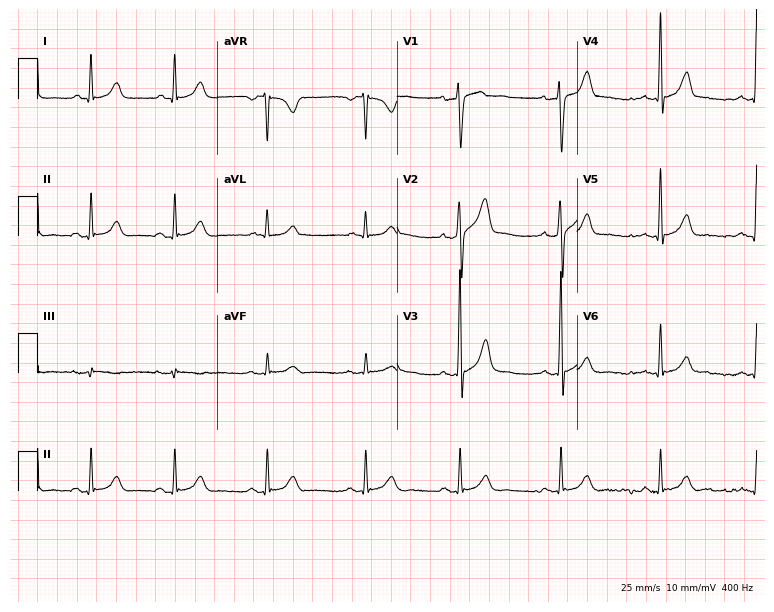
Standard 12-lead ECG recorded from a male patient, 44 years old (7.3-second recording at 400 Hz). Read as a normal ECG.